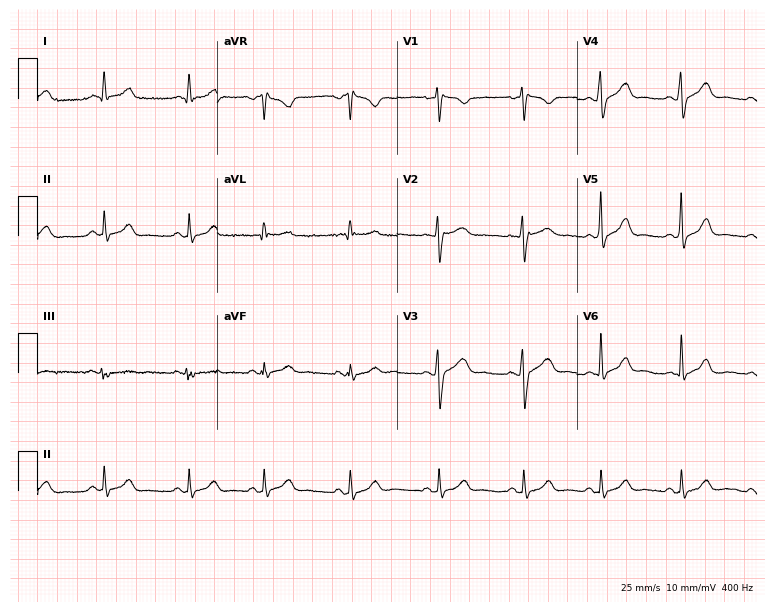
Standard 12-lead ECG recorded from a female patient, 36 years old (7.3-second recording at 400 Hz). None of these six findings is recorded: first-degree AV block, right bundle branch block (RBBB), left bundle branch block (LBBB), sinus bradycardia, atrial fibrillation (AF), sinus tachycardia. Other findings, if any, are not listed.